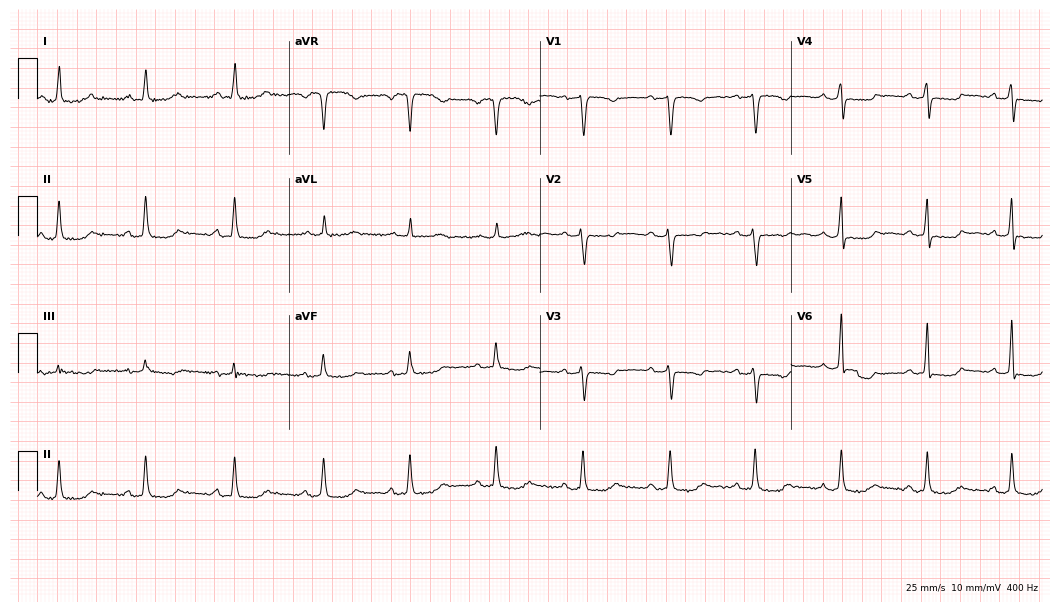
12-lead ECG from a female, 57 years old. Recorded interpretation: within normal limits.